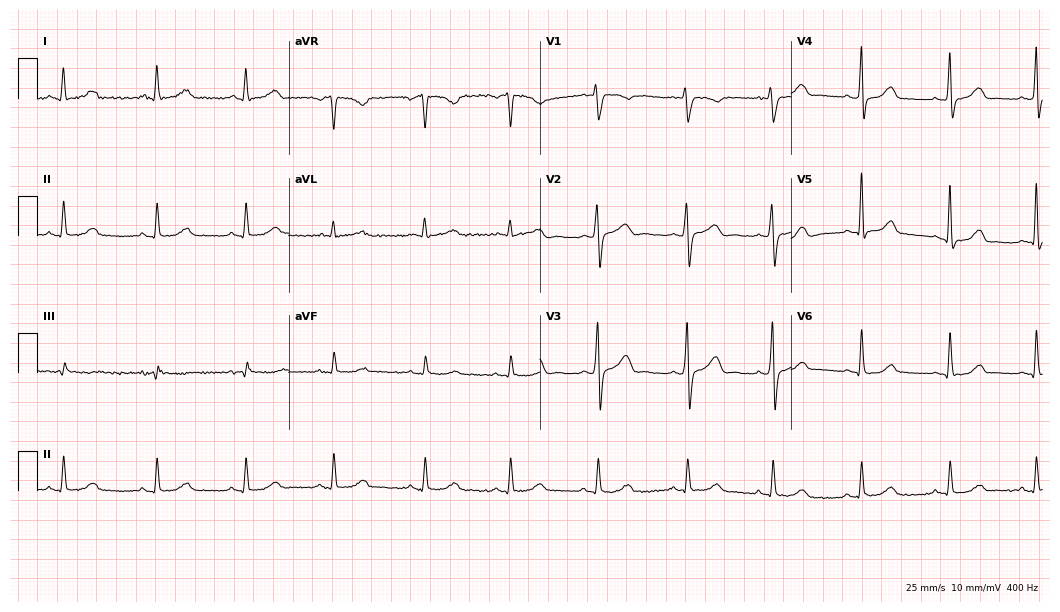
Resting 12-lead electrocardiogram (10.2-second recording at 400 Hz). Patient: a 43-year-old female. None of these six findings is recorded: first-degree AV block, right bundle branch block, left bundle branch block, sinus bradycardia, atrial fibrillation, sinus tachycardia.